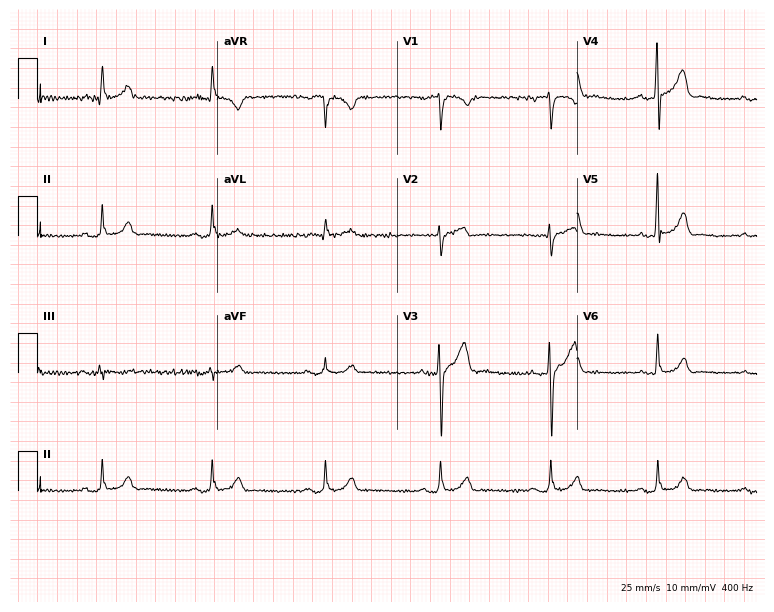
12-lead ECG (7.3-second recording at 400 Hz) from a 34-year-old male patient. Labelled as a normal ECG.